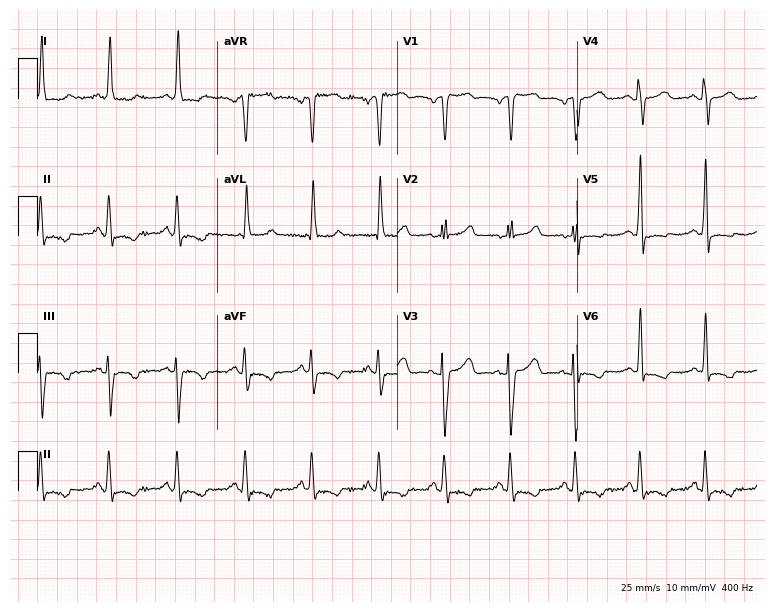
Standard 12-lead ECG recorded from a woman, 66 years old (7.3-second recording at 400 Hz). None of these six findings is recorded: first-degree AV block, right bundle branch block (RBBB), left bundle branch block (LBBB), sinus bradycardia, atrial fibrillation (AF), sinus tachycardia. Findings outside these six are not listed.